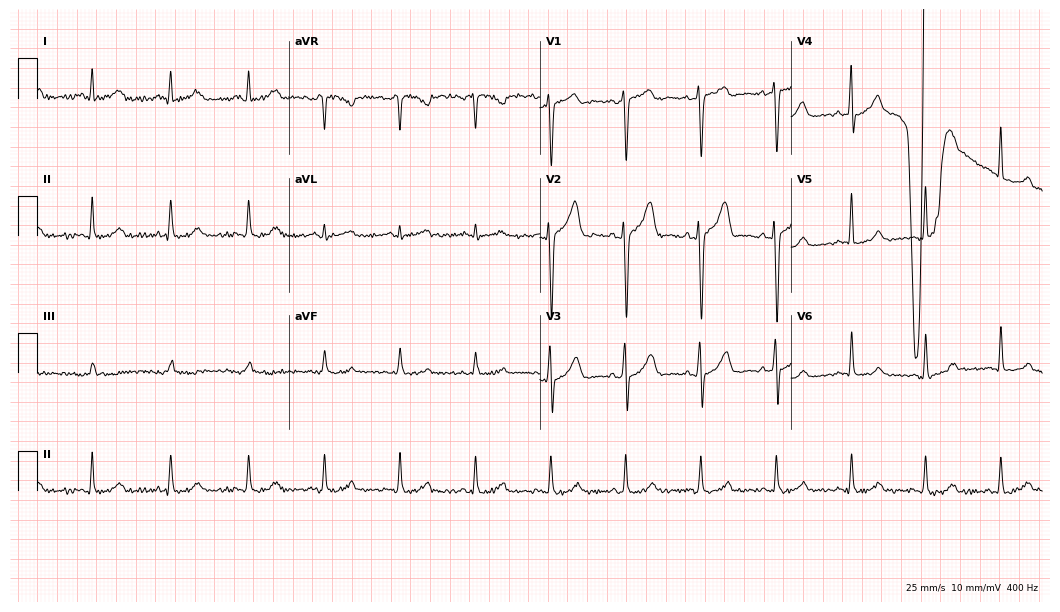
Electrocardiogram (10.2-second recording at 400 Hz), a male patient, 36 years old. Of the six screened findings (first-degree AV block, right bundle branch block, left bundle branch block, sinus bradycardia, atrial fibrillation, sinus tachycardia), none is recorded. Other findings, if any, are not listed.